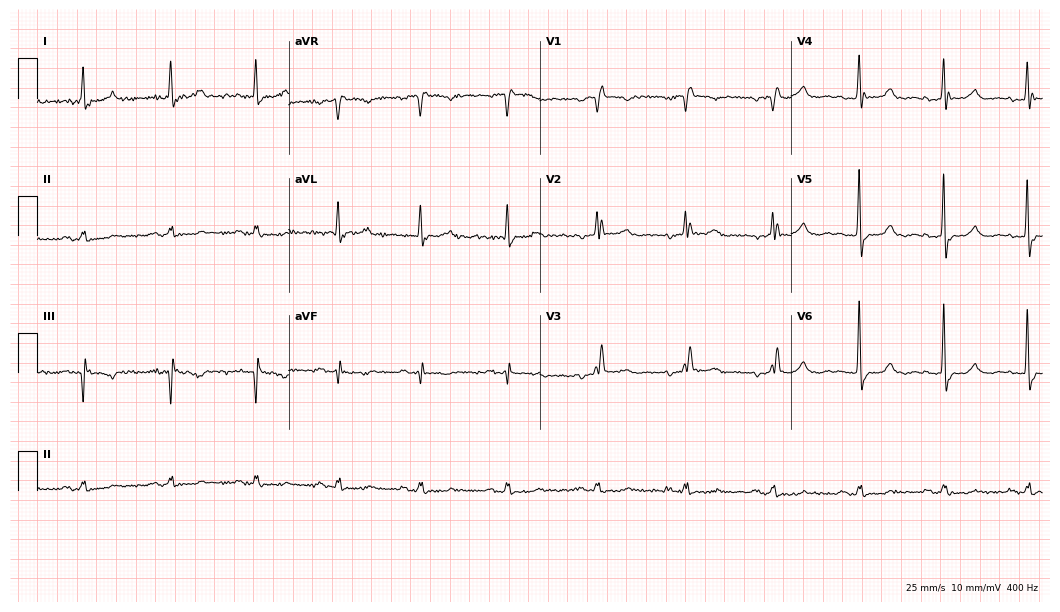
12-lead ECG from a 71-year-old woman (10.2-second recording at 400 Hz). No first-degree AV block, right bundle branch block (RBBB), left bundle branch block (LBBB), sinus bradycardia, atrial fibrillation (AF) or sinus tachycardia recorded for this tracing.